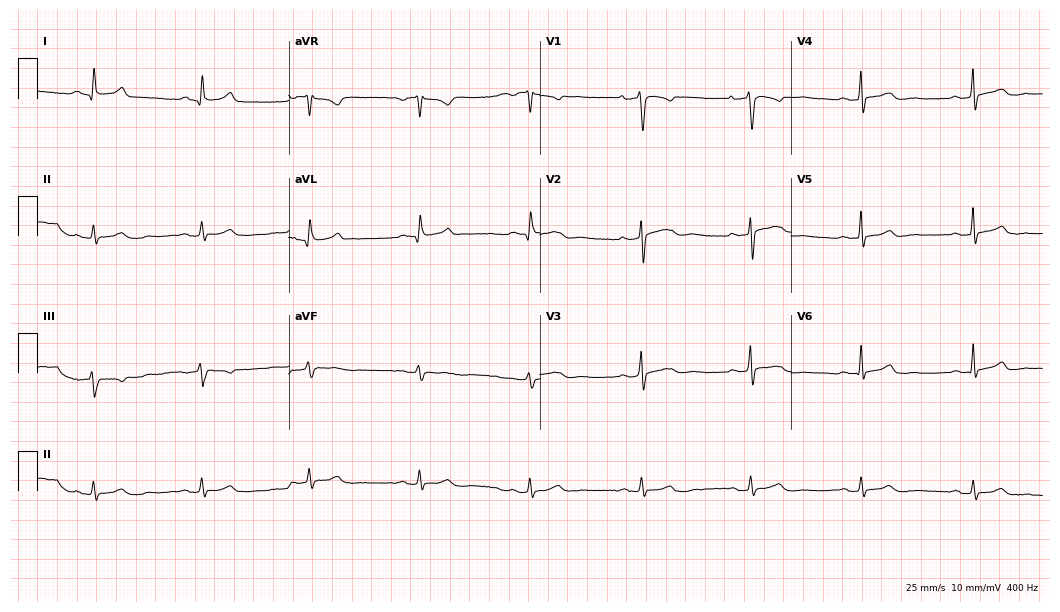
Resting 12-lead electrocardiogram. Patient: a man, 55 years old. Read as a normal ECG.